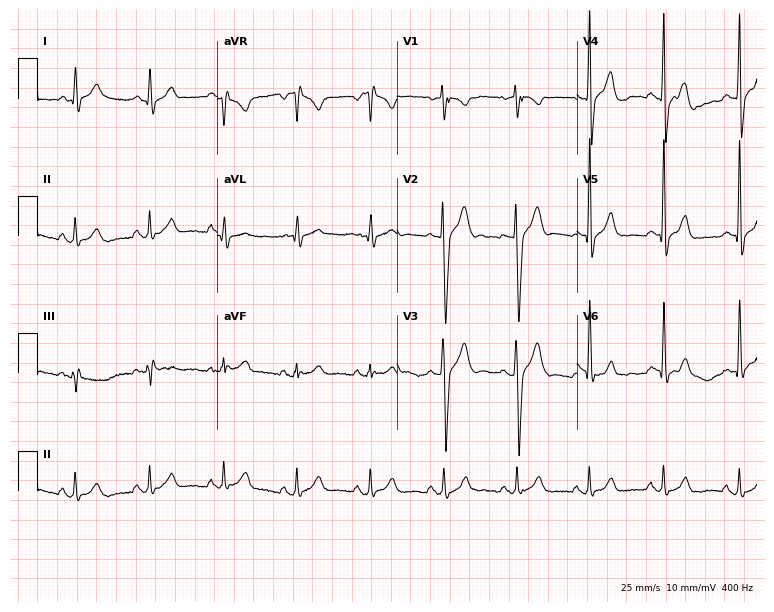
Electrocardiogram (7.3-second recording at 400 Hz), a 43-year-old man. Of the six screened findings (first-degree AV block, right bundle branch block (RBBB), left bundle branch block (LBBB), sinus bradycardia, atrial fibrillation (AF), sinus tachycardia), none is recorded.